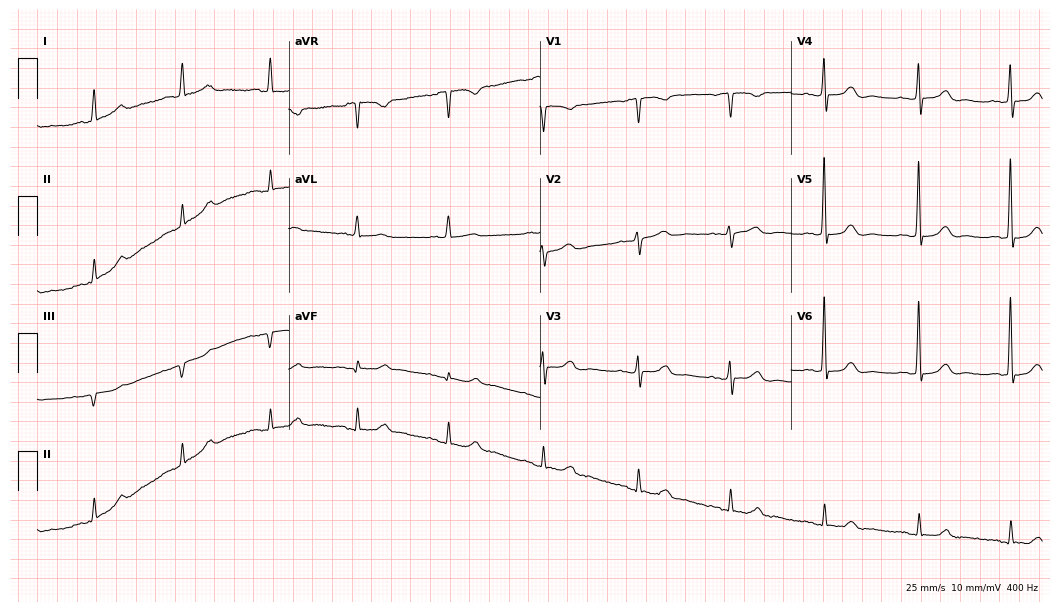
Resting 12-lead electrocardiogram (10.2-second recording at 400 Hz). Patient: a female, 80 years old. Read as a normal ECG.